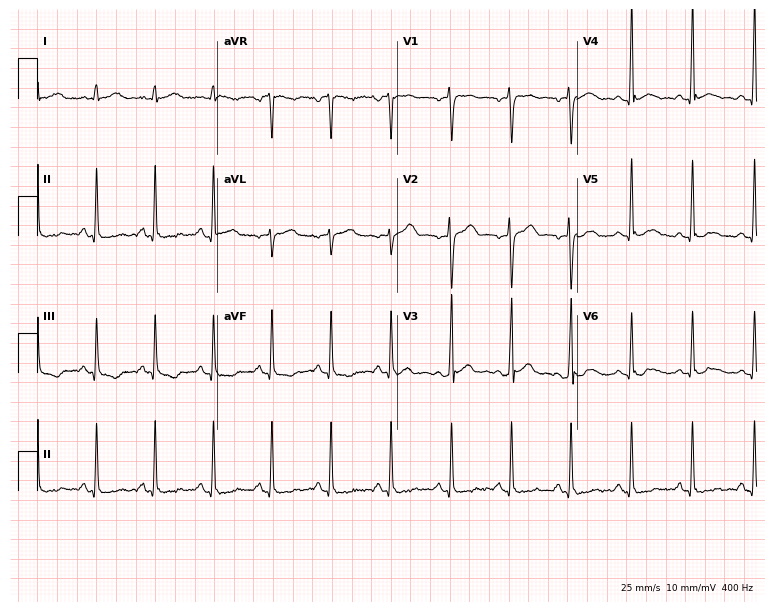
Standard 12-lead ECG recorded from a man, 21 years old (7.3-second recording at 400 Hz). None of these six findings is recorded: first-degree AV block, right bundle branch block (RBBB), left bundle branch block (LBBB), sinus bradycardia, atrial fibrillation (AF), sinus tachycardia. Findings outside these six are not listed.